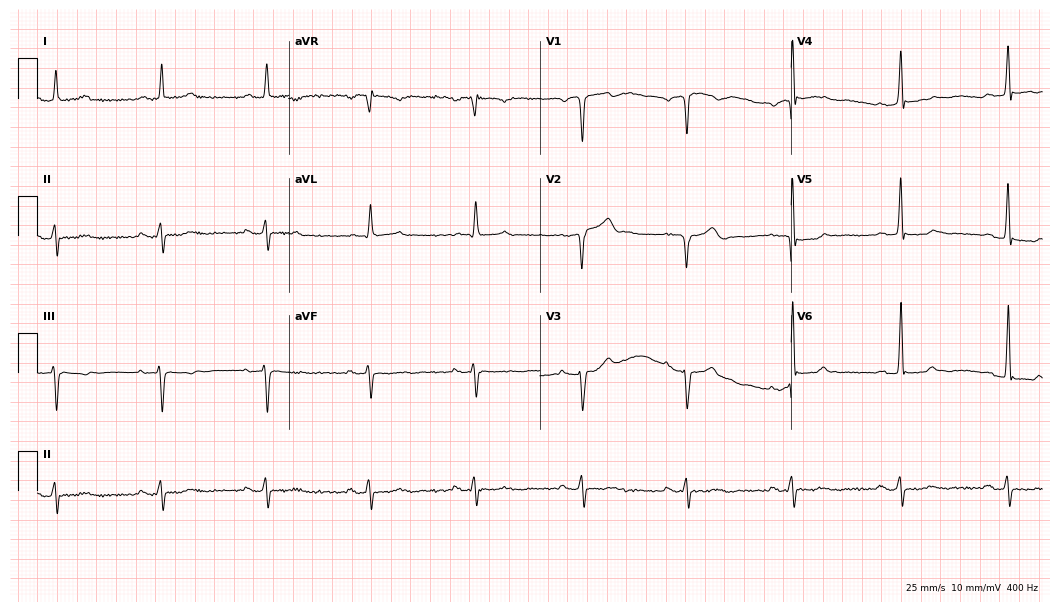
Electrocardiogram, a man, 81 years old. Of the six screened findings (first-degree AV block, right bundle branch block, left bundle branch block, sinus bradycardia, atrial fibrillation, sinus tachycardia), none is recorded. Only these six findings were labelled.